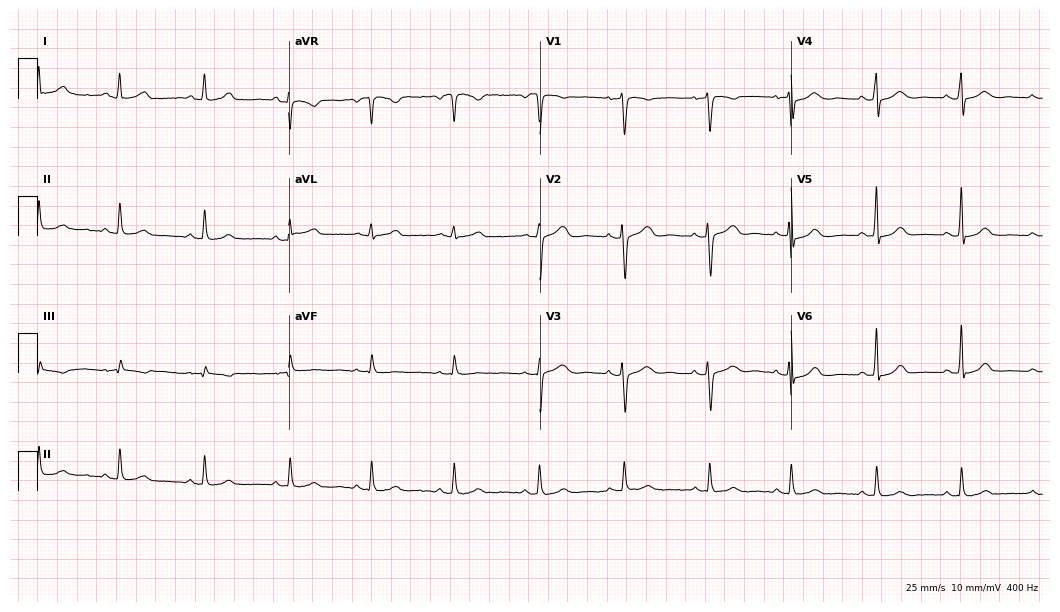
12-lead ECG from a woman, 46 years old. Recorded interpretation: within normal limits.